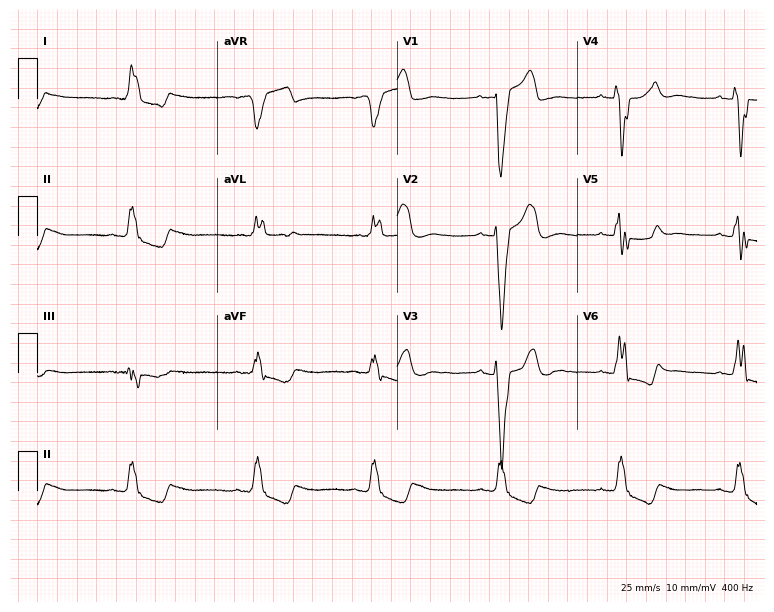
12-lead ECG (7.3-second recording at 400 Hz) from a woman, 76 years old. Findings include left bundle branch block (LBBB).